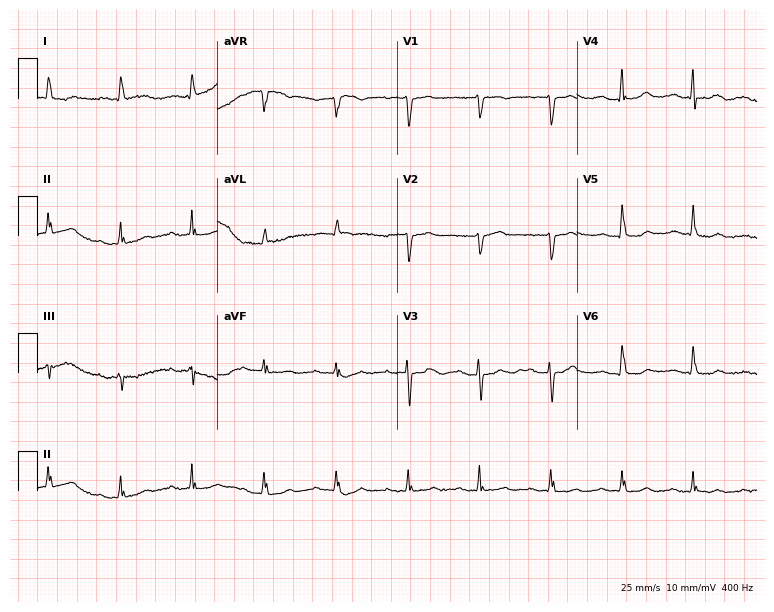
ECG — a female, 79 years old. Screened for six findings — first-degree AV block, right bundle branch block, left bundle branch block, sinus bradycardia, atrial fibrillation, sinus tachycardia — none is recorded. Other findings, if any, are not listed.